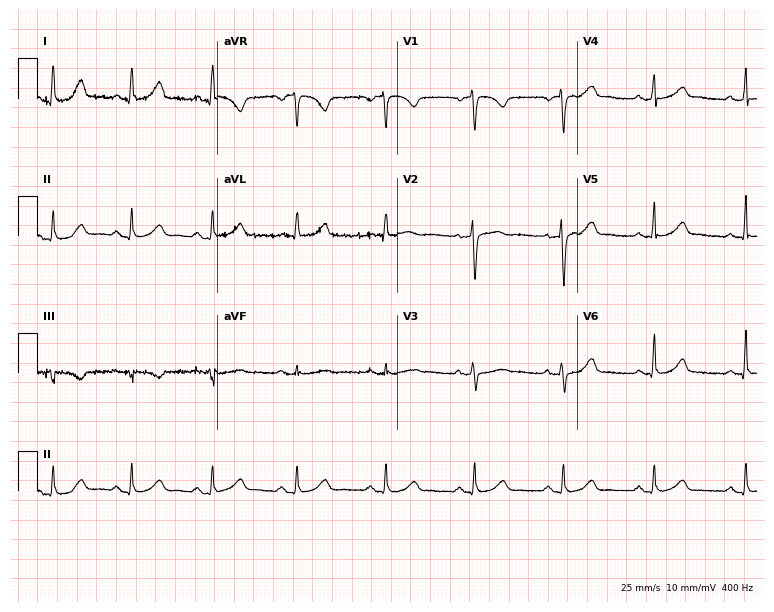
12-lead ECG (7.3-second recording at 400 Hz) from a 45-year-old woman. Screened for six findings — first-degree AV block, right bundle branch block, left bundle branch block, sinus bradycardia, atrial fibrillation, sinus tachycardia — none is recorded.